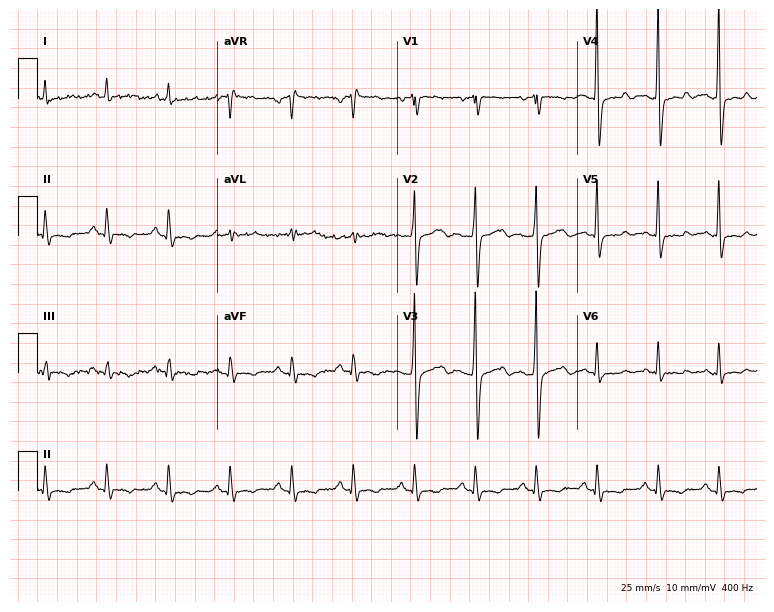
12-lead ECG (7.3-second recording at 400 Hz) from a female, 79 years old. Screened for six findings — first-degree AV block, right bundle branch block, left bundle branch block, sinus bradycardia, atrial fibrillation, sinus tachycardia — none is recorded. Findings outside these six are not listed.